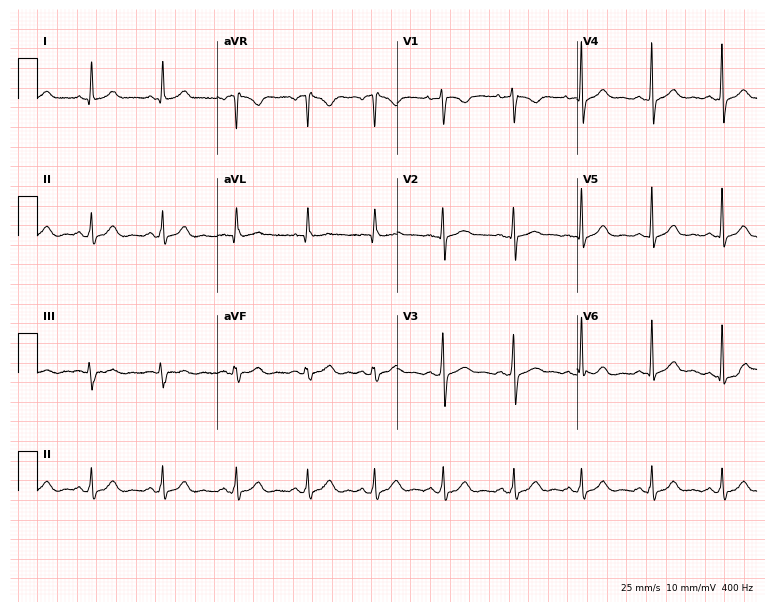
Resting 12-lead electrocardiogram (7.3-second recording at 400 Hz). Patient: a 33-year-old female. Read as a normal ECG.